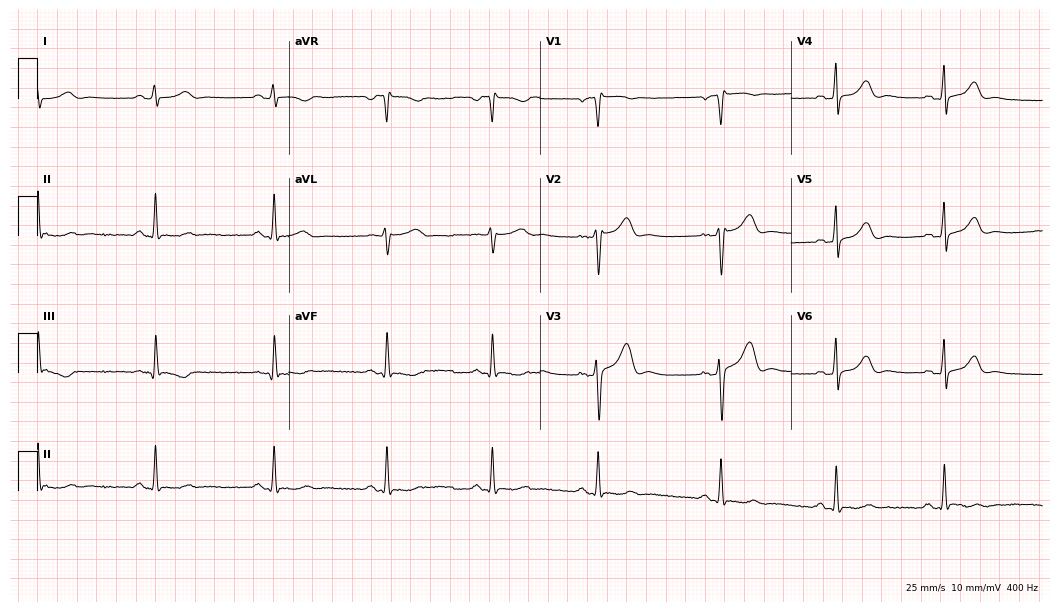
ECG — a female, 33 years old. Screened for six findings — first-degree AV block, right bundle branch block, left bundle branch block, sinus bradycardia, atrial fibrillation, sinus tachycardia — none is recorded. Findings outside these six are not listed.